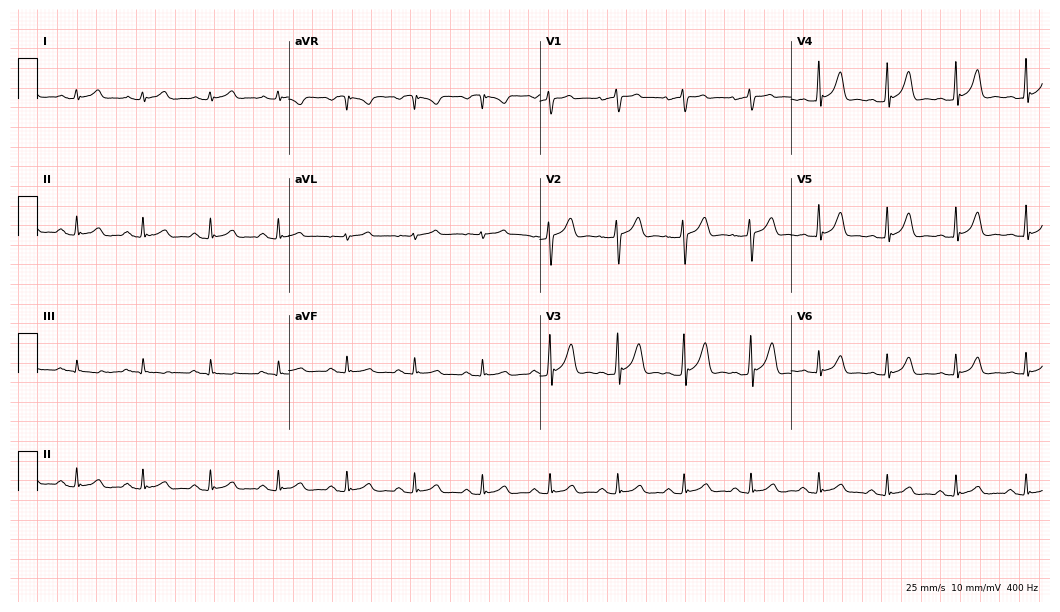
ECG — a man, 31 years old. Labelled as a normal ECG.